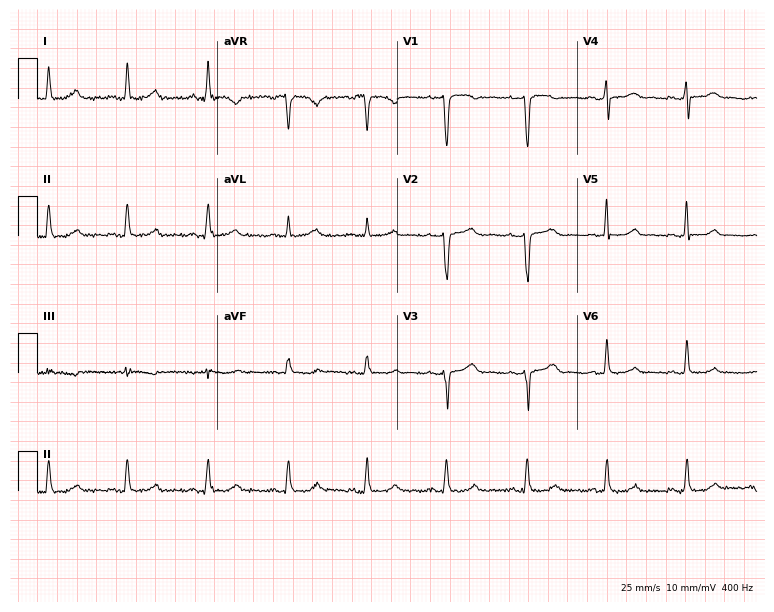
ECG (7.3-second recording at 400 Hz) — a 59-year-old woman. Screened for six findings — first-degree AV block, right bundle branch block (RBBB), left bundle branch block (LBBB), sinus bradycardia, atrial fibrillation (AF), sinus tachycardia — none is recorded. Findings outside these six are not listed.